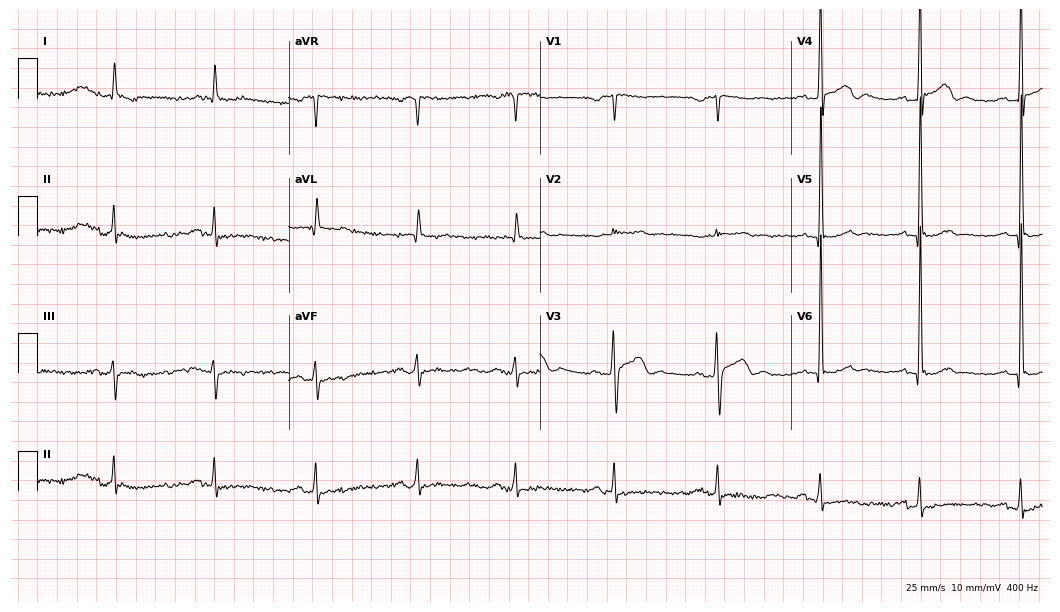
12-lead ECG from a 75-year-old man. Recorded interpretation: within normal limits.